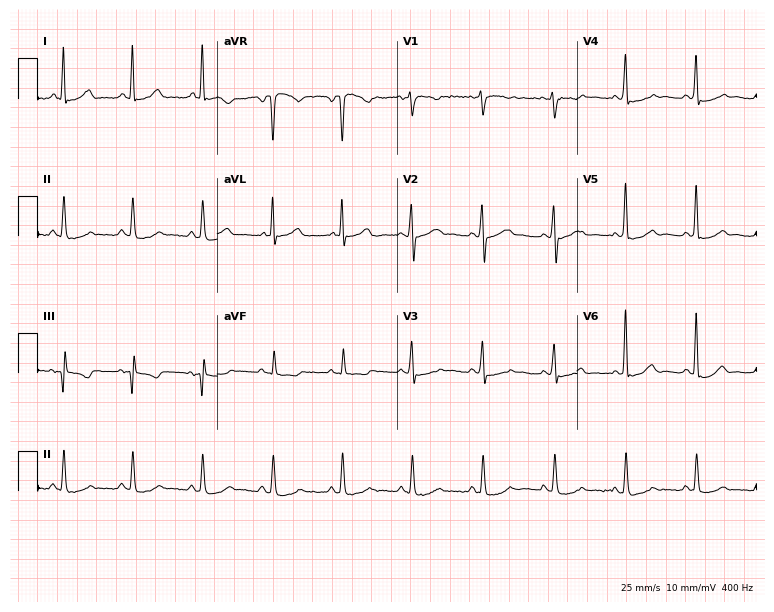
Standard 12-lead ECG recorded from a 53-year-old female (7.3-second recording at 400 Hz). None of these six findings is recorded: first-degree AV block, right bundle branch block (RBBB), left bundle branch block (LBBB), sinus bradycardia, atrial fibrillation (AF), sinus tachycardia.